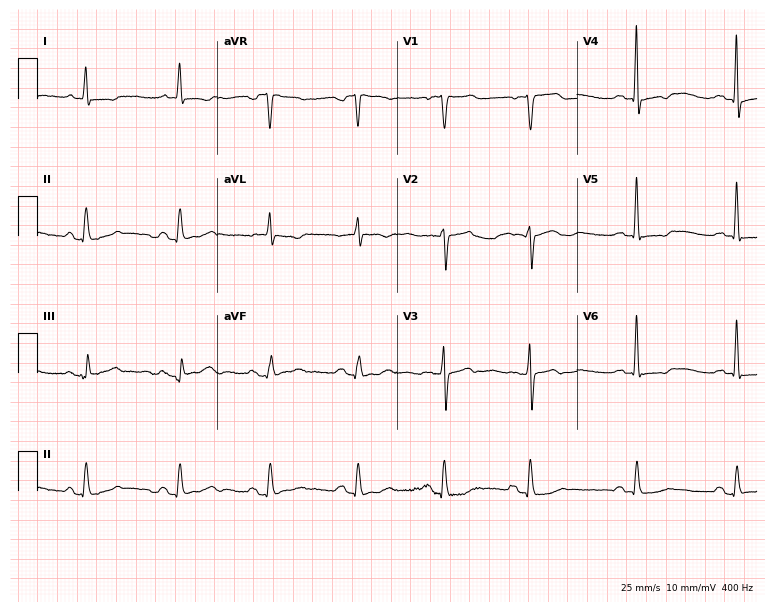
Standard 12-lead ECG recorded from a 63-year-old woman (7.3-second recording at 400 Hz). None of these six findings is recorded: first-degree AV block, right bundle branch block, left bundle branch block, sinus bradycardia, atrial fibrillation, sinus tachycardia. Other findings, if any, are not listed.